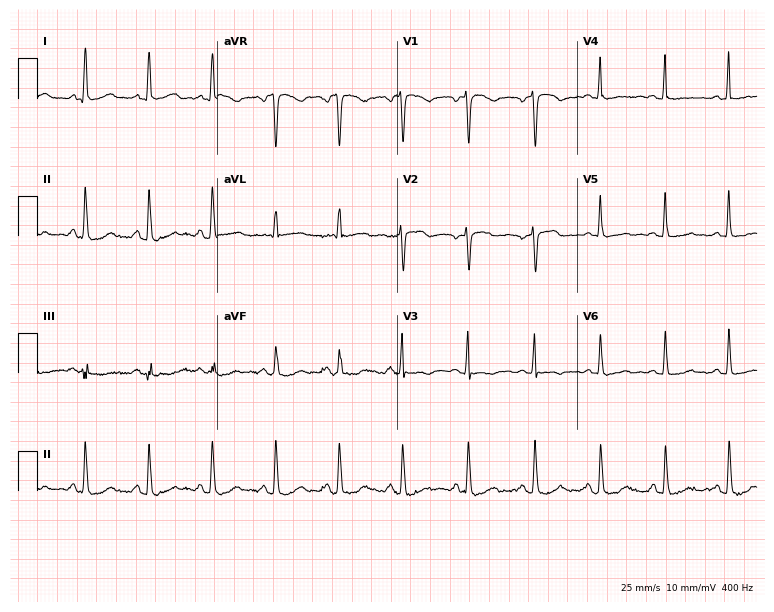
12-lead ECG from a female patient, 68 years old. No first-degree AV block, right bundle branch block (RBBB), left bundle branch block (LBBB), sinus bradycardia, atrial fibrillation (AF) or sinus tachycardia recorded for this tracing. Other findings, if any, are not listed.